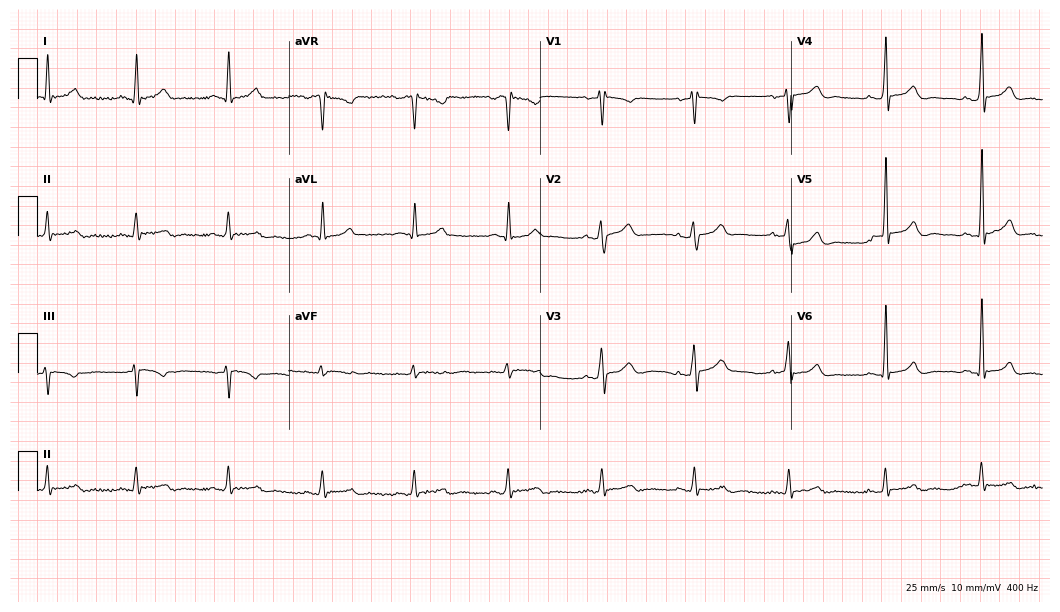
ECG — a female patient, 59 years old. Labelled as a normal ECG.